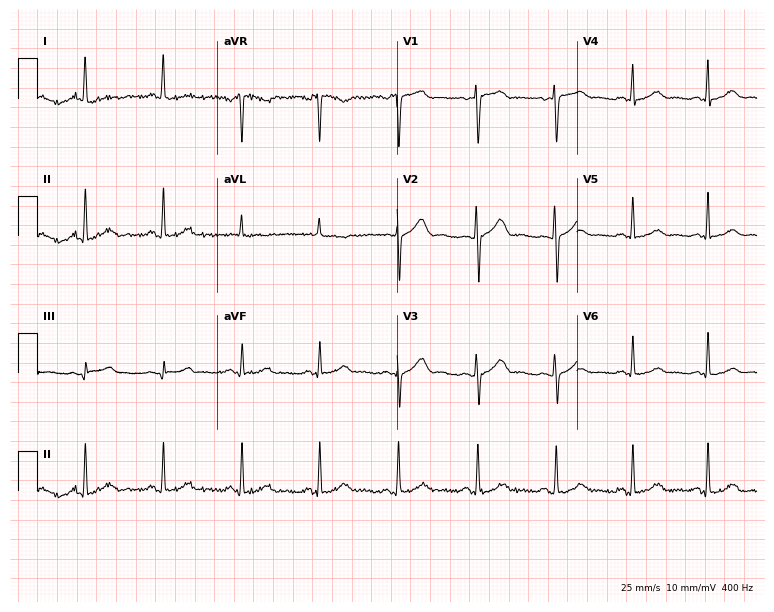
12-lead ECG from a 49-year-old female (7.3-second recording at 400 Hz). No first-degree AV block, right bundle branch block, left bundle branch block, sinus bradycardia, atrial fibrillation or sinus tachycardia recorded for this tracing.